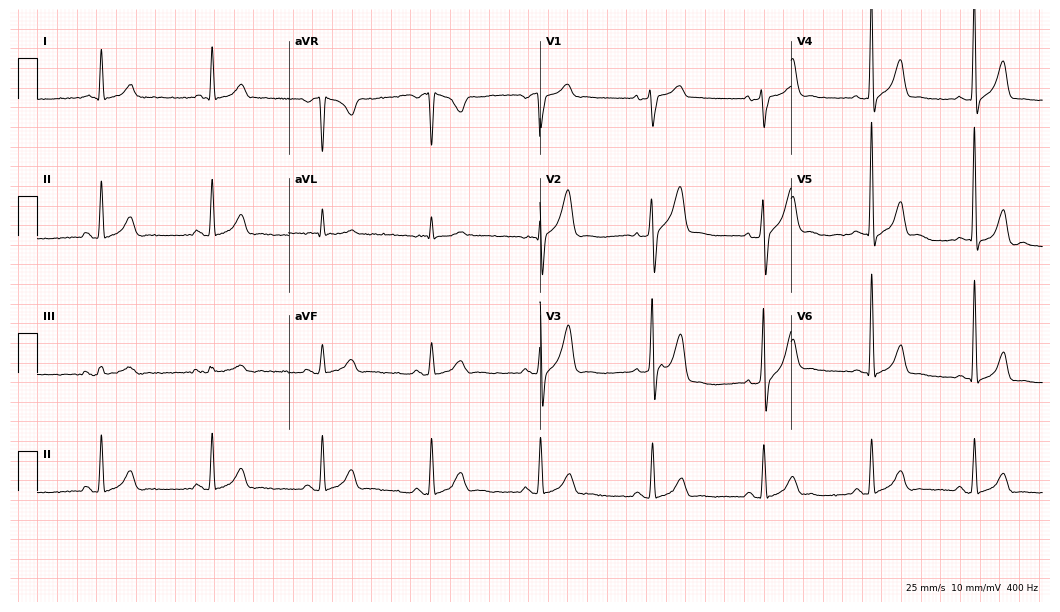
Standard 12-lead ECG recorded from a male, 55 years old. Read as a normal ECG.